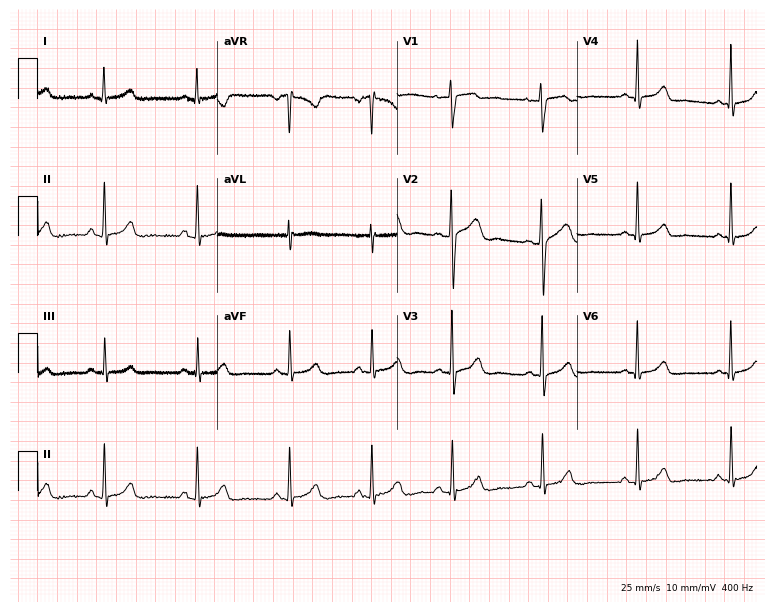
12-lead ECG (7.3-second recording at 400 Hz) from a female, 31 years old. Screened for six findings — first-degree AV block, right bundle branch block, left bundle branch block, sinus bradycardia, atrial fibrillation, sinus tachycardia — none is recorded.